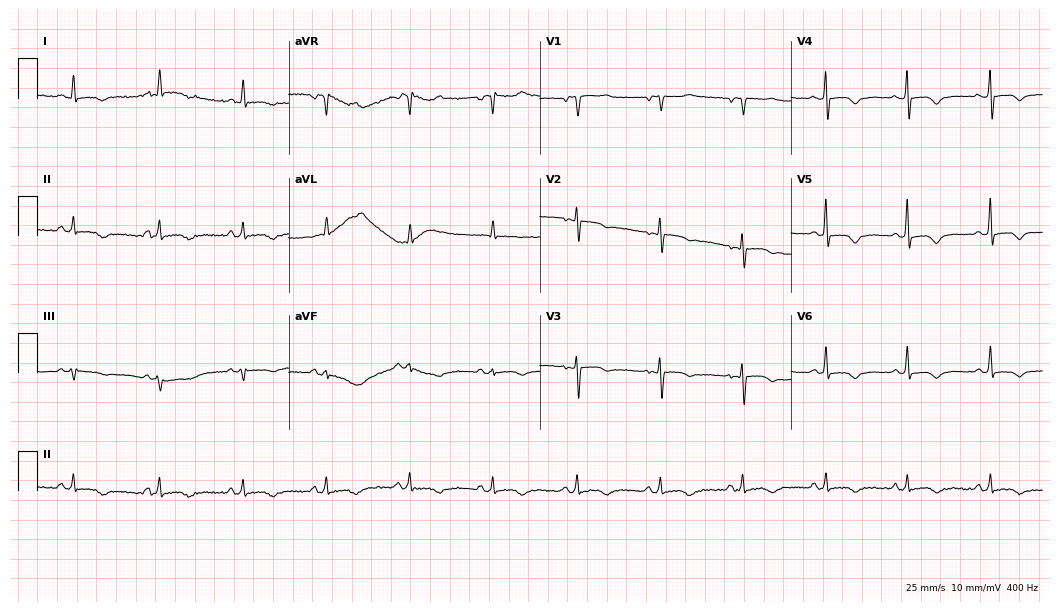
ECG — a female patient, 59 years old. Screened for six findings — first-degree AV block, right bundle branch block, left bundle branch block, sinus bradycardia, atrial fibrillation, sinus tachycardia — none is recorded.